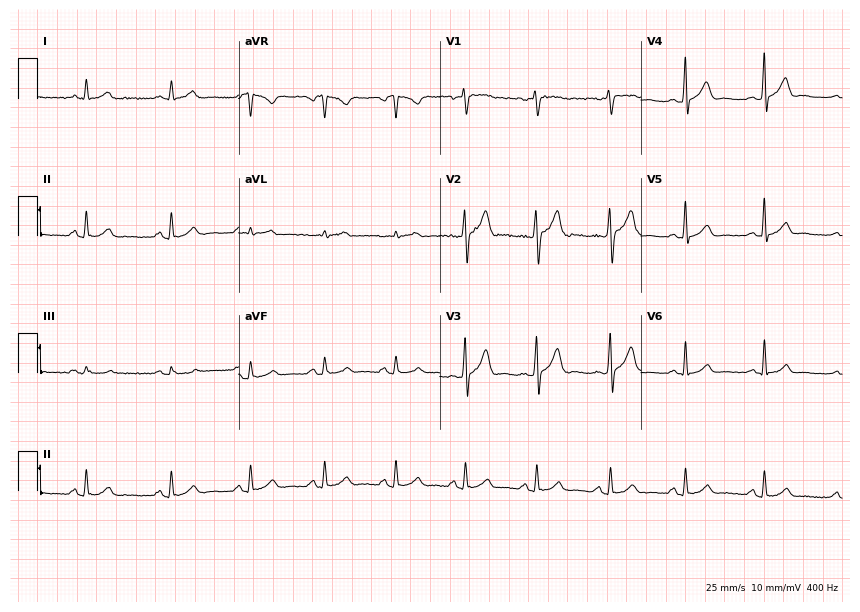
Resting 12-lead electrocardiogram (8.2-second recording at 400 Hz). Patient: a 37-year-old male. Read as a normal ECG.